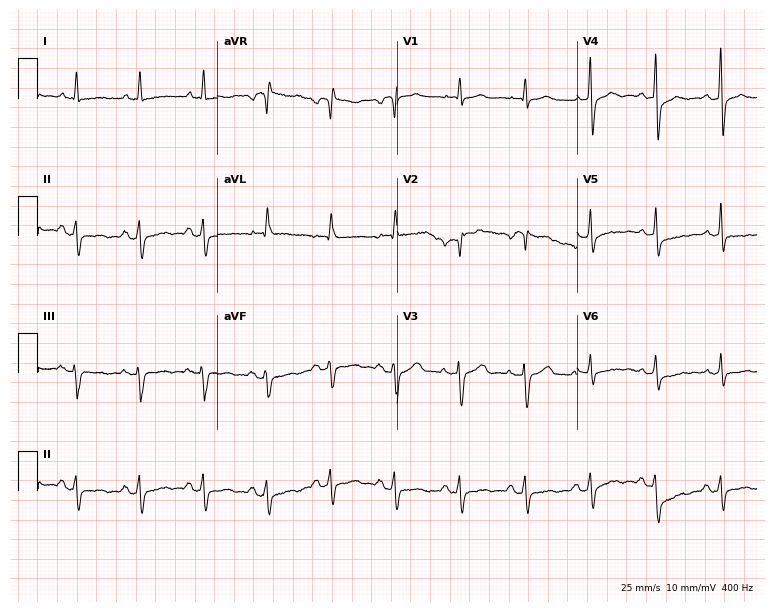
Standard 12-lead ECG recorded from a 78-year-old male (7.3-second recording at 400 Hz). None of these six findings is recorded: first-degree AV block, right bundle branch block (RBBB), left bundle branch block (LBBB), sinus bradycardia, atrial fibrillation (AF), sinus tachycardia.